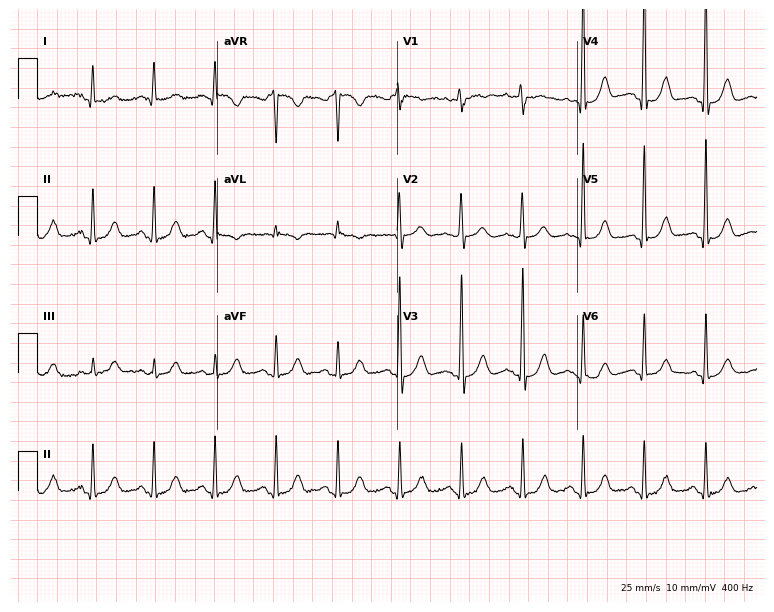
12-lead ECG from a 54-year-old female. Recorded interpretation: within normal limits.